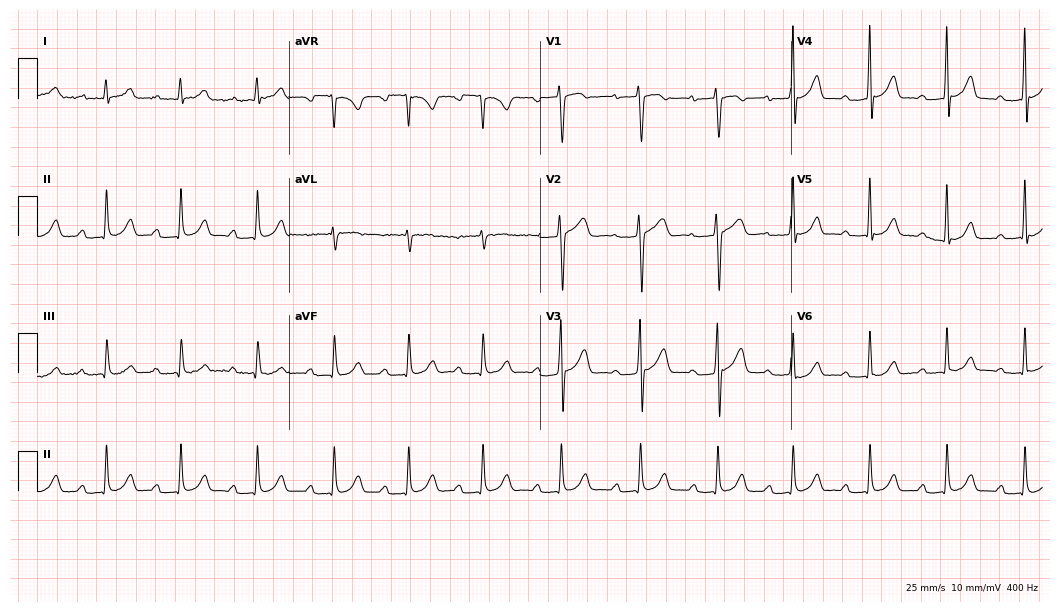
12-lead ECG (10.2-second recording at 400 Hz) from a female, 19 years old. Findings include first-degree AV block.